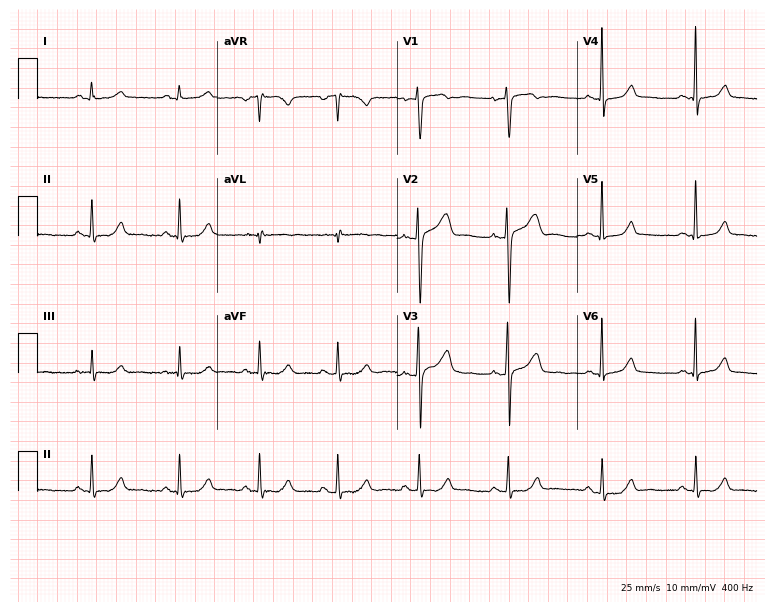
Electrocardiogram (7.3-second recording at 400 Hz), a 32-year-old woman. Overall reading on record: normal ECG.